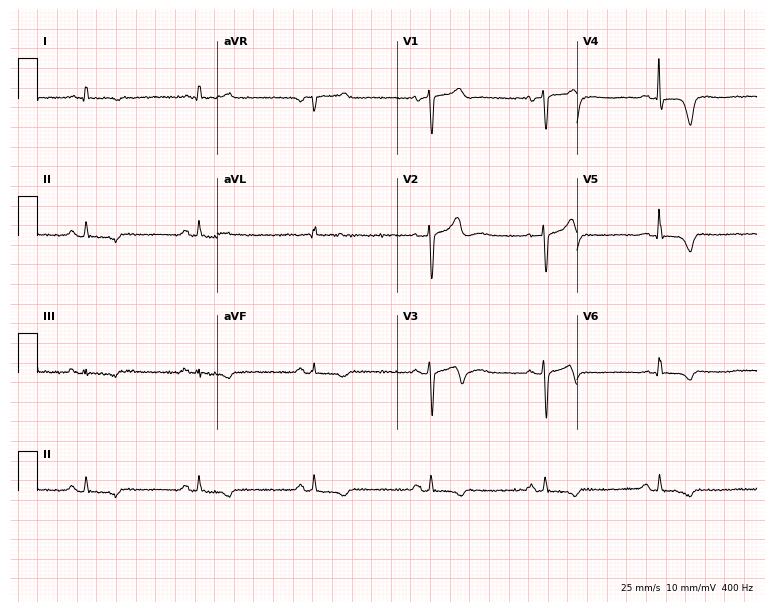
Resting 12-lead electrocardiogram. Patient: a male, 64 years old. None of these six findings is recorded: first-degree AV block, right bundle branch block, left bundle branch block, sinus bradycardia, atrial fibrillation, sinus tachycardia.